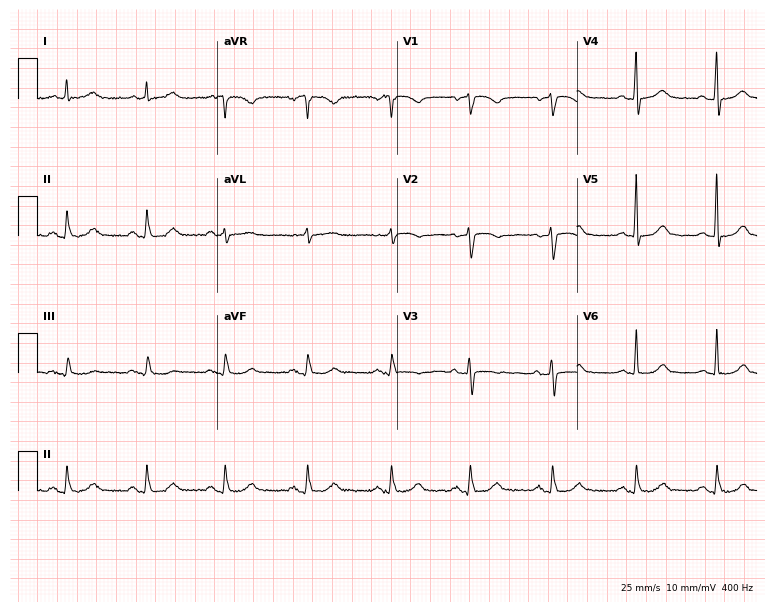
Electrocardiogram, an 86-year-old female patient. Overall reading on record: normal ECG.